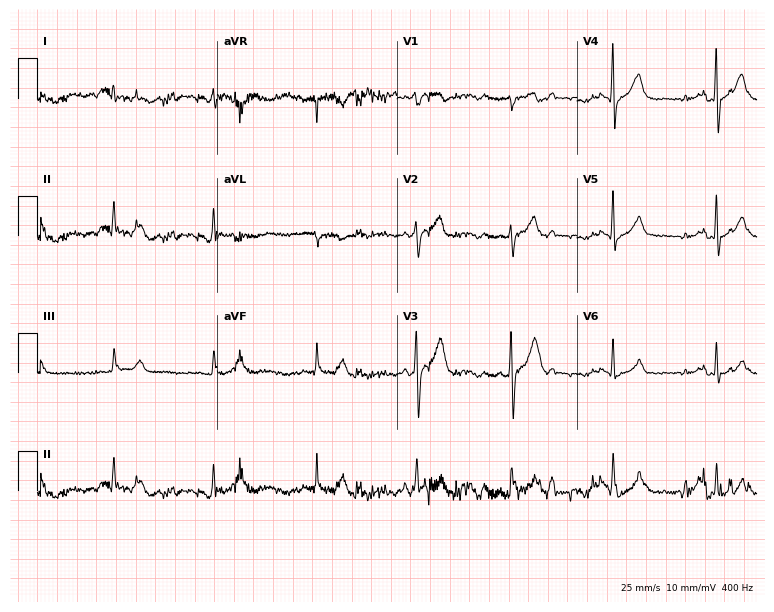
ECG (7.3-second recording at 400 Hz) — a female, 58 years old. Labelled as a normal ECG.